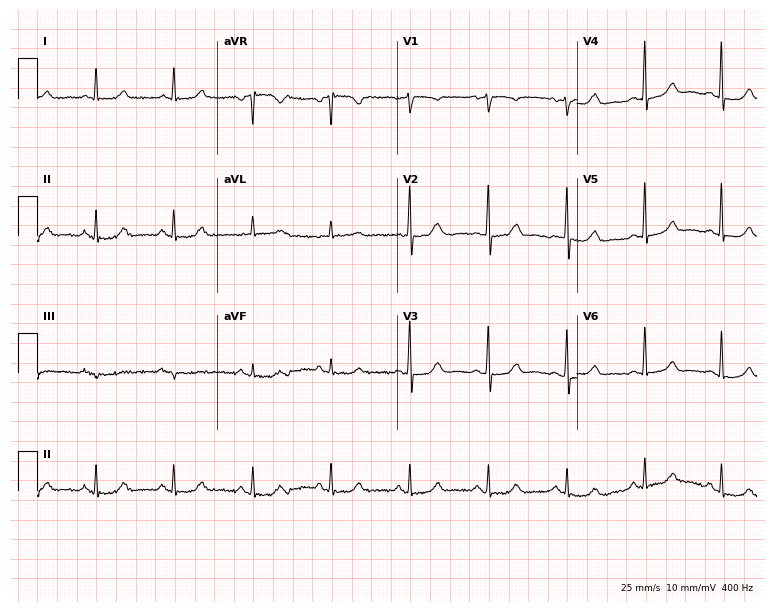
12-lead ECG from a female patient, 73 years old. No first-degree AV block, right bundle branch block, left bundle branch block, sinus bradycardia, atrial fibrillation or sinus tachycardia recorded for this tracing.